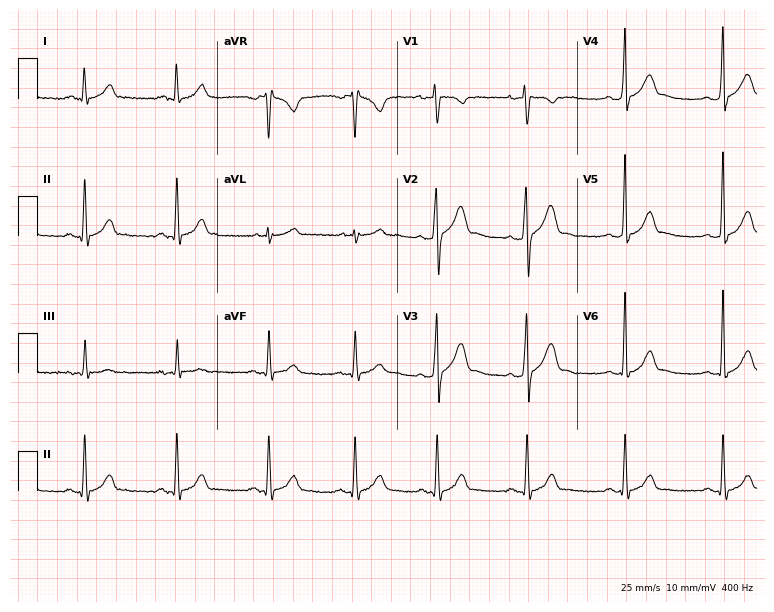
Resting 12-lead electrocardiogram. Patient: a 26-year-old male. Read as a normal ECG.